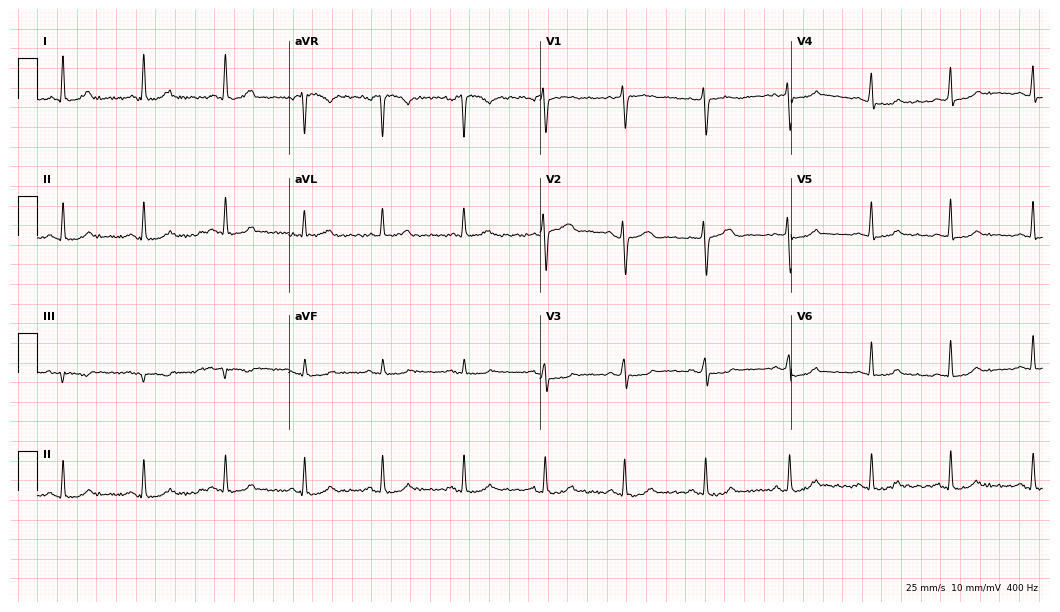
12-lead ECG from a 59-year-old female. Screened for six findings — first-degree AV block, right bundle branch block, left bundle branch block, sinus bradycardia, atrial fibrillation, sinus tachycardia — none is recorded.